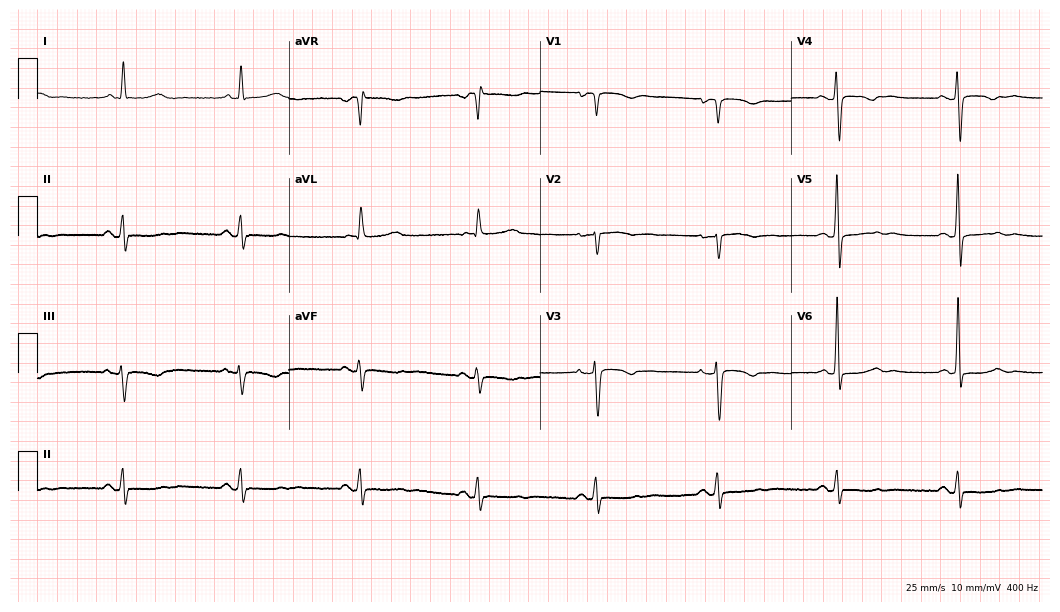
12-lead ECG (10.2-second recording at 400 Hz) from a female patient, 54 years old. Findings include sinus bradycardia (a sinus rate of 50 beats per minute or less).